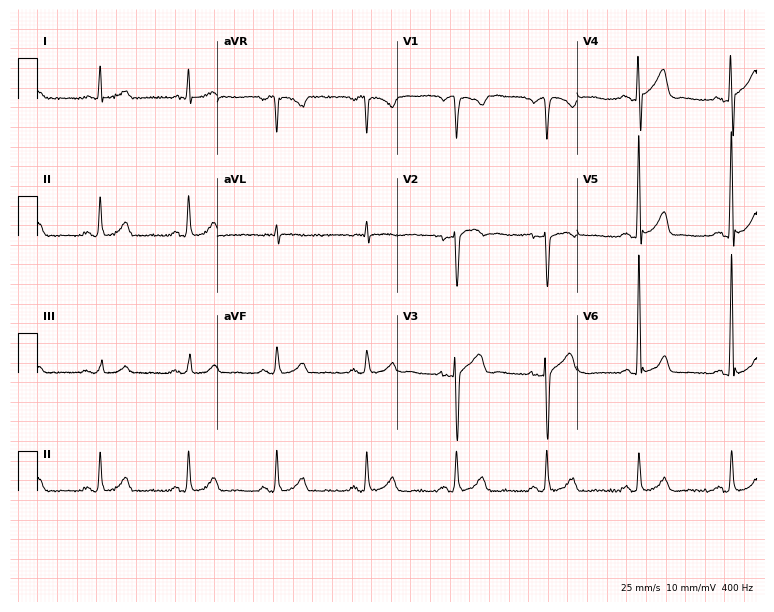
Standard 12-lead ECG recorded from a 58-year-old male patient. Read as a normal ECG.